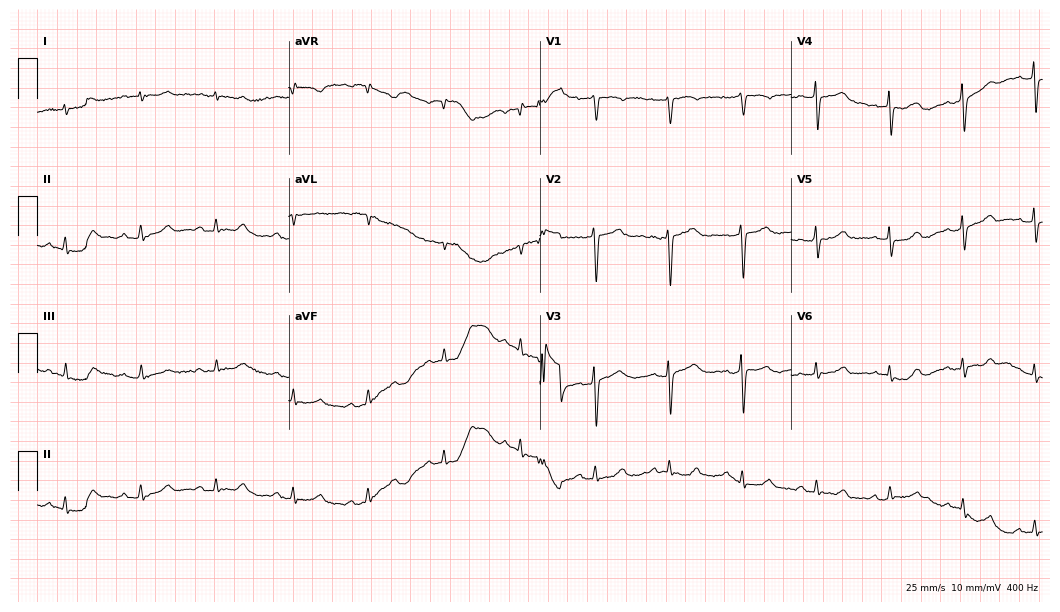
ECG — a 45-year-old woman. Screened for six findings — first-degree AV block, right bundle branch block (RBBB), left bundle branch block (LBBB), sinus bradycardia, atrial fibrillation (AF), sinus tachycardia — none is recorded. Findings outside these six are not listed.